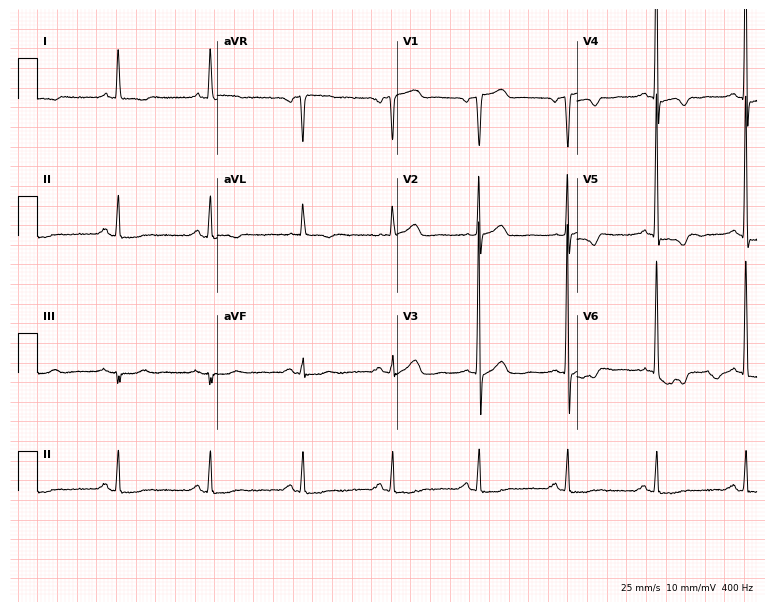
Resting 12-lead electrocardiogram (7.3-second recording at 400 Hz). Patient: a male, 69 years old. None of these six findings is recorded: first-degree AV block, right bundle branch block, left bundle branch block, sinus bradycardia, atrial fibrillation, sinus tachycardia.